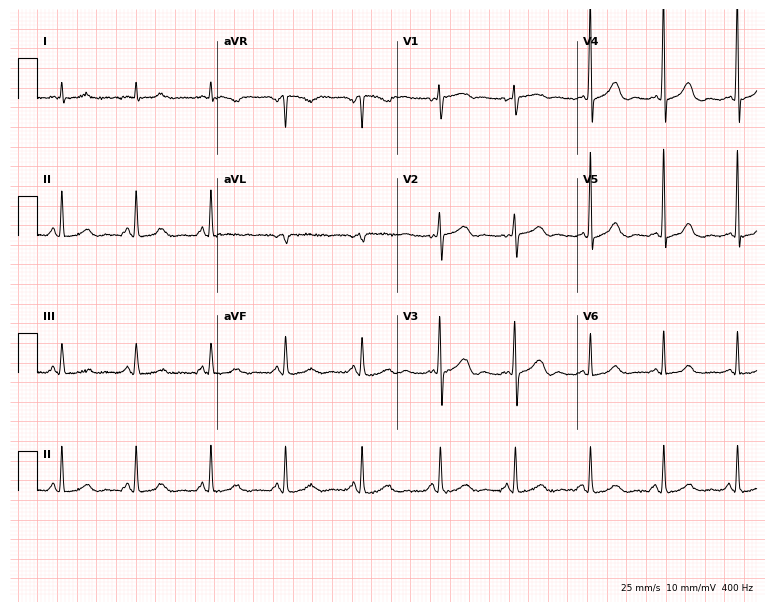
ECG — a 58-year-old female patient. Screened for six findings — first-degree AV block, right bundle branch block (RBBB), left bundle branch block (LBBB), sinus bradycardia, atrial fibrillation (AF), sinus tachycardia — none is recorded. Findings outside these six are not listed.